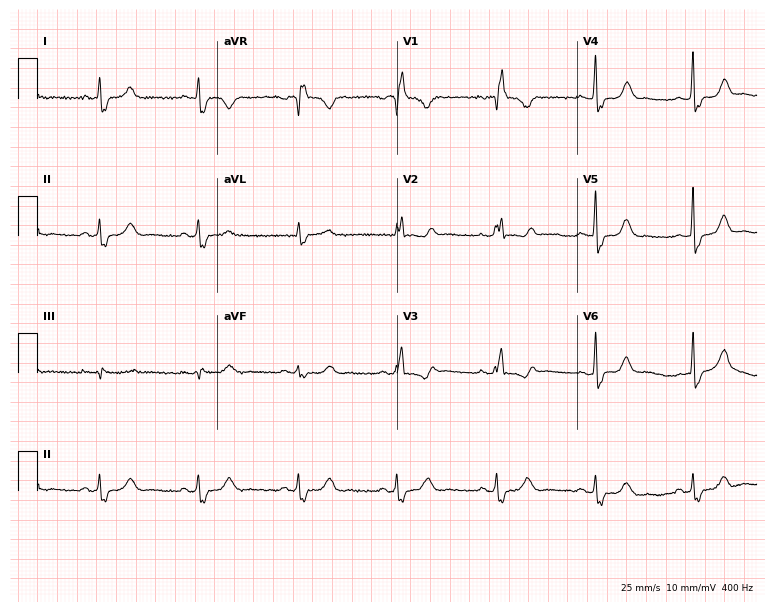
12-lead ECG from a woman, 42 years old. Findings include right bundle branch block.